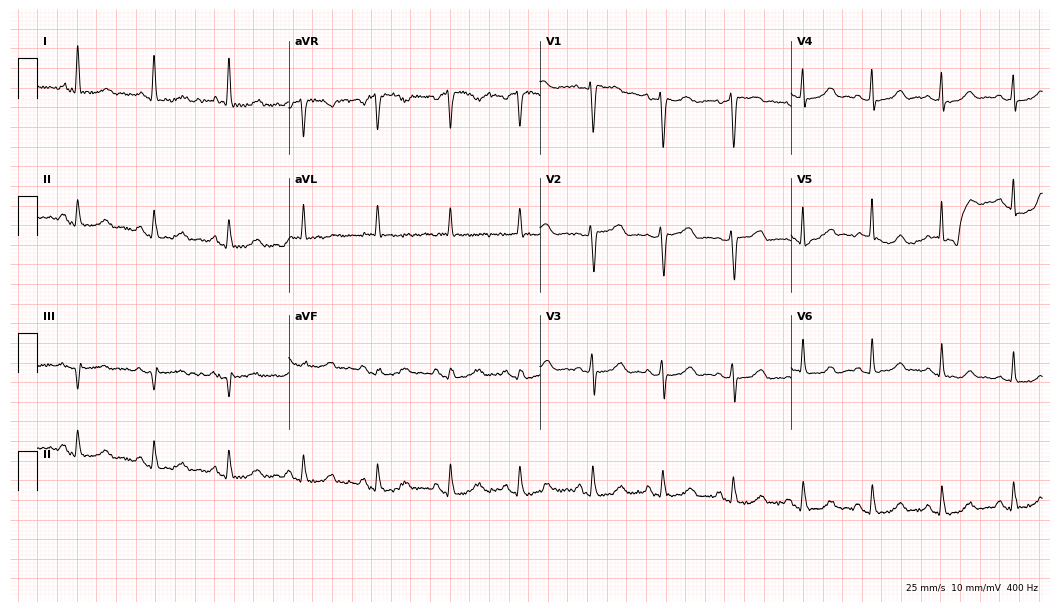
ECG (10.2-second recording at 400 Hz) — a female patient, 74 years old. Labelled as a normal ECG.